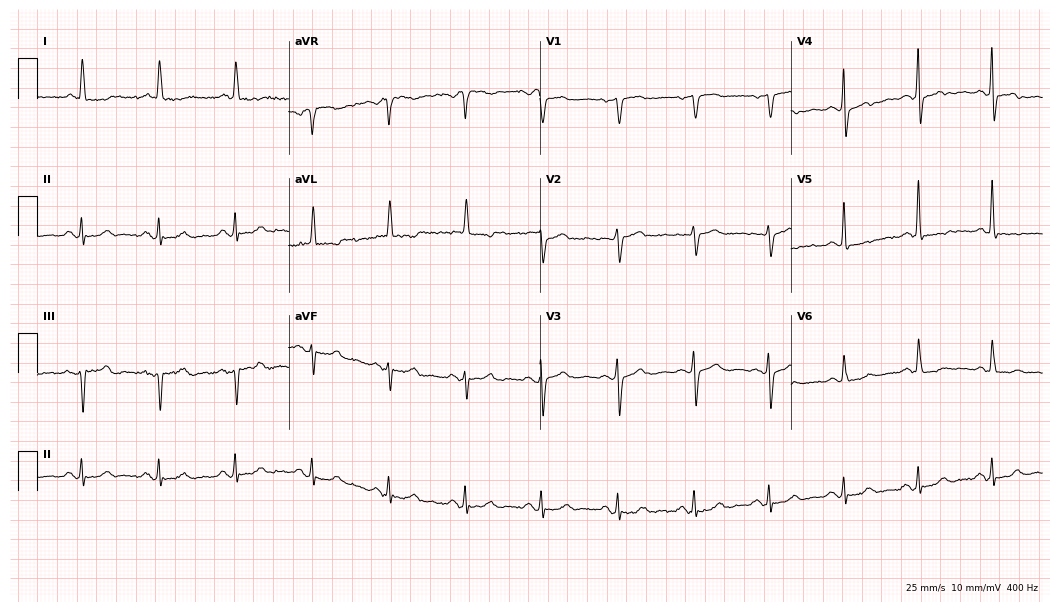
12-lead ECG from a woman, 81 years old. Screened for six findings — first-degree AV block, right bundle branch block (RBBB), left bundle branch block (LBBB), sinus bradycardia, atrial fibrillation (AF), sinus tachycardia — none is recorded.